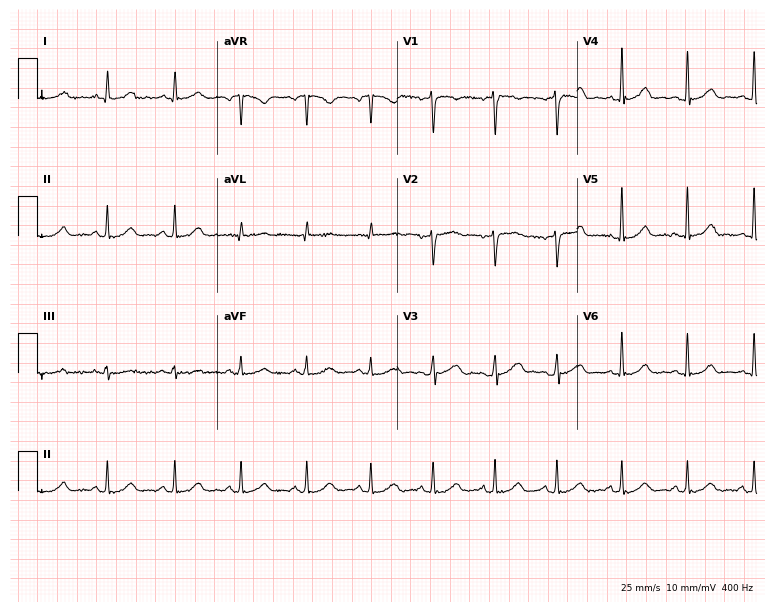
12-lead ECG from a female patient, 33 years old (7.3-second recording at 400 Hz). Recorded interpretation: within normal limits.